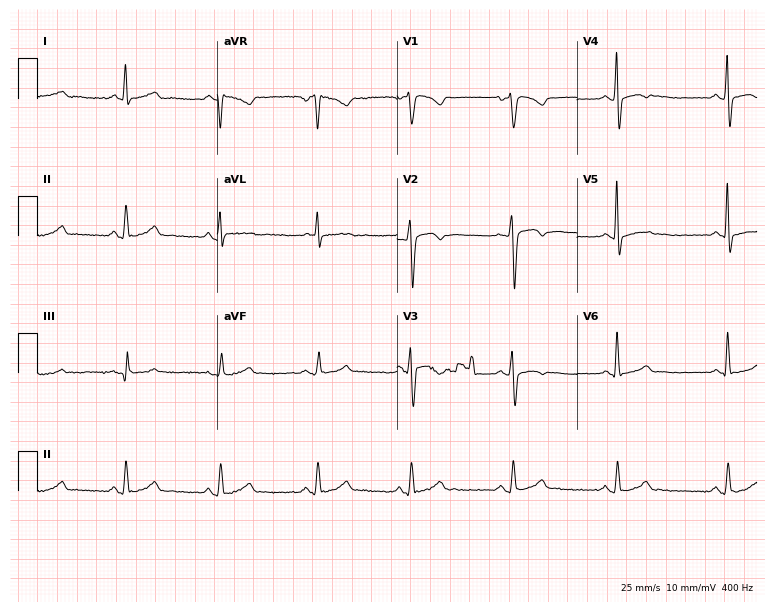
12-lead ECG from a female patient, 28 years old. Screened for six findings — first-degree AV block, right bundle branch block, left bundle branch block, sinus bradycardia, atrial fibrillation, sinus tachycardia — none is recorded.